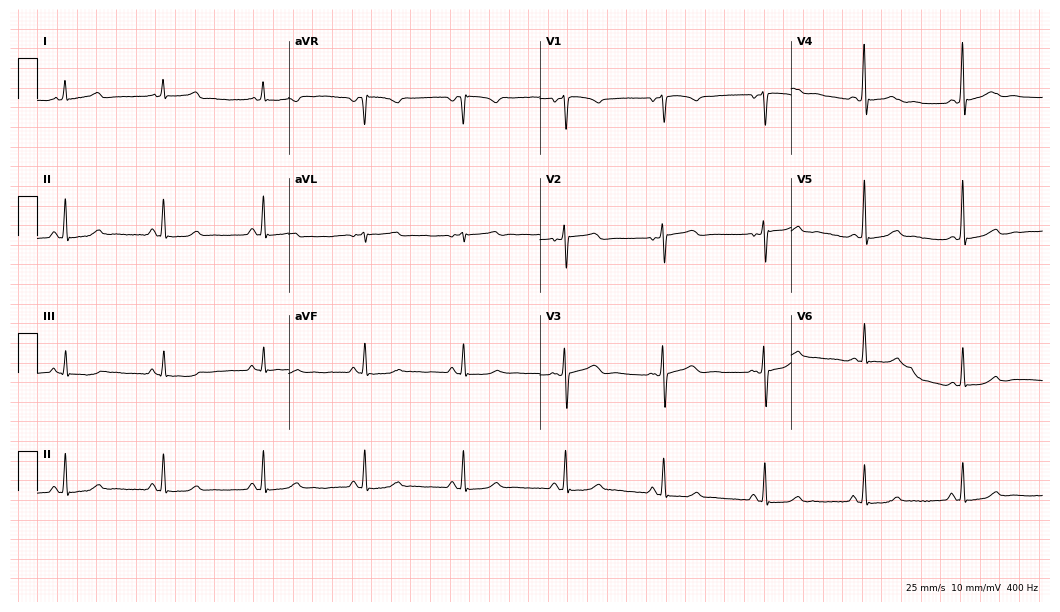
Electrocardiogram, a 52-year-old female patient. Of the six screened findings (first-degree AV block, right bundle branch block (RBBB), left bundle branch block (LBBB), sinus bradycardia, atrial fibrillation (AF), sinus tachycardia), none is recorded.